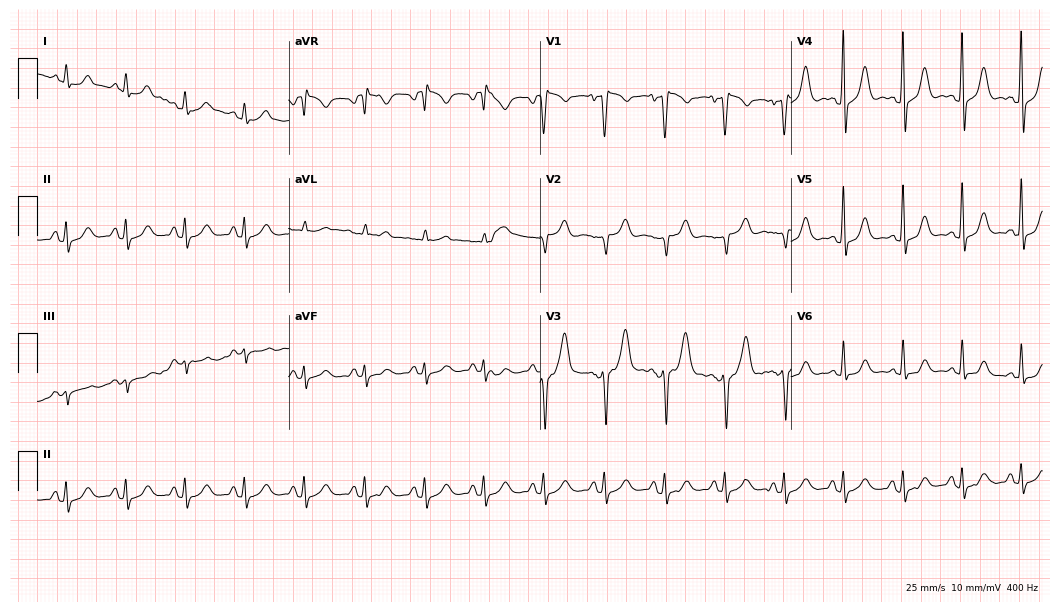
12-lead ECG from a male, 57 years old. No first-degree AV block, right bundle branch block (RBBB), left bundle branch block (LBBB), sinus bradycardia, atrial fibrillation (AF) or sinus tachycardia recorded for this tracing.